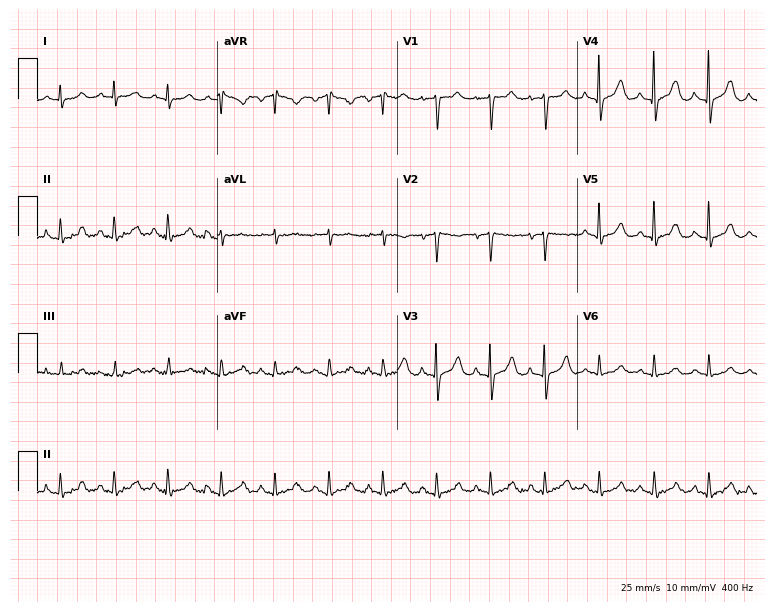
Standard 12-lead ECG recorded from a woman, 72 years old. The tracing shows sinus tachycardia (a sinus rate of 100 beats per minute or more).